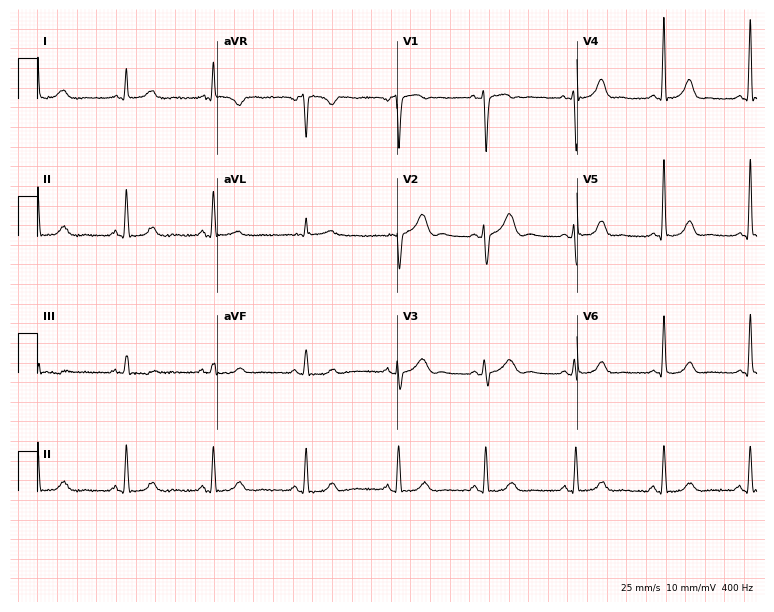
Electrocardiogram (7.3-second recording at 400 Hz), a female, 51 years old. Of the six screened findings (first-degree AV block, right bundle branch block, left bundle branch block, sinus bradycardia, atrial fibrillation, sinus tachycardia), none is recorded.